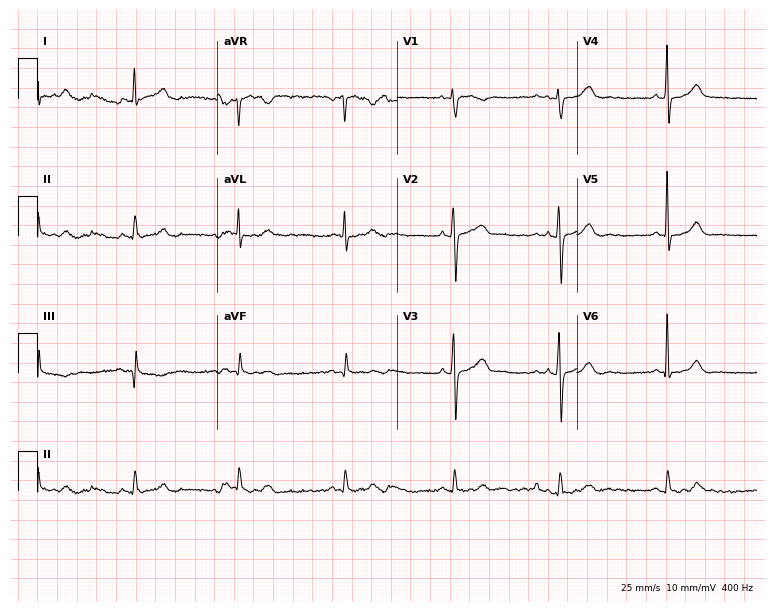
Standard 12-lead ECG recorded from a female, 44 years old (7.3-second recording at 400 Hz). None of these six findings is recorded: first-degree AV block, right bundle branch block (RBBB), left bundle branch block (LBBB), sinus bradycardia, atrial fibrillation (AF), sinus tachycardia. Findings outside these six are not listed.